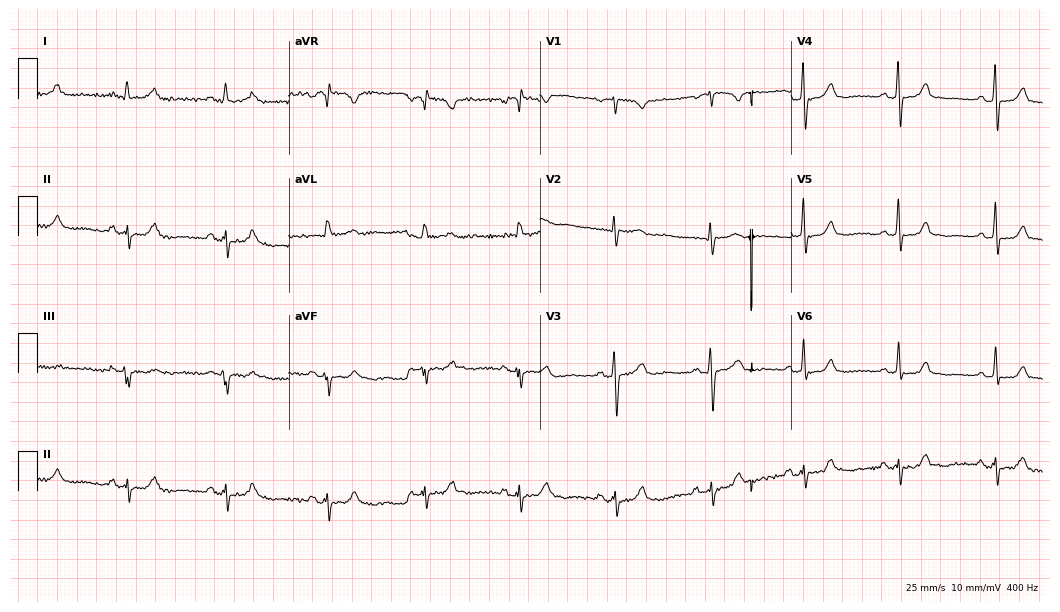
Electrocardiogram (10.2-second recording at 400 Hz), a 77-year-old woman. Of the six screened findings (first-degree AV block, right bundle branch block, left bundle branch block, sinus bradycardia, atrial fibrillation, sinus tachycardia), none is recorded.